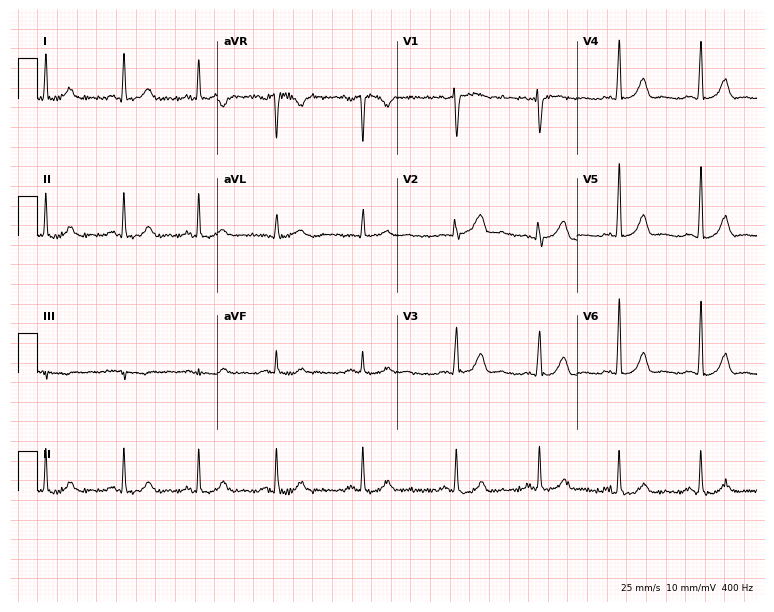
Resting 12-lead electrocardiogram. Patient: a 51-year-old female. None of these six findings is recorded: first-degree AV block, right bundle branch block, left bundle branch block, sinus bradycardia, atrial fibrillation, sinus tachycardia. Other findings, if any, are not listed.